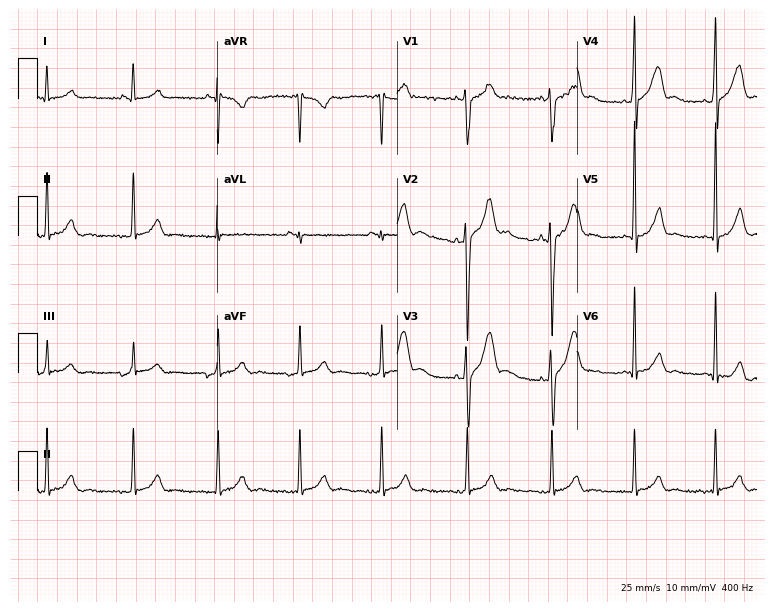
Electrocardiogram, a woman, 22 years old. Overall reading on record: normal ECG.